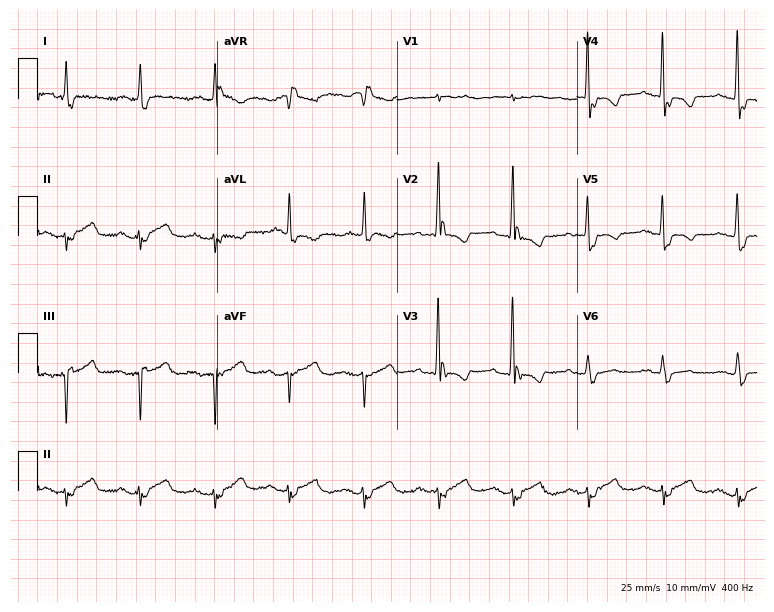
Resting 12-lead electrocardiogram (7.3-second recording at 400 Hz). Patient: a 71-year-old female. None of these six findings is recorded: first-degree AV block, right bundle branch block, left bundle branch block, sinus bradycardia, atrial fibrillation, sinus tachycardia.